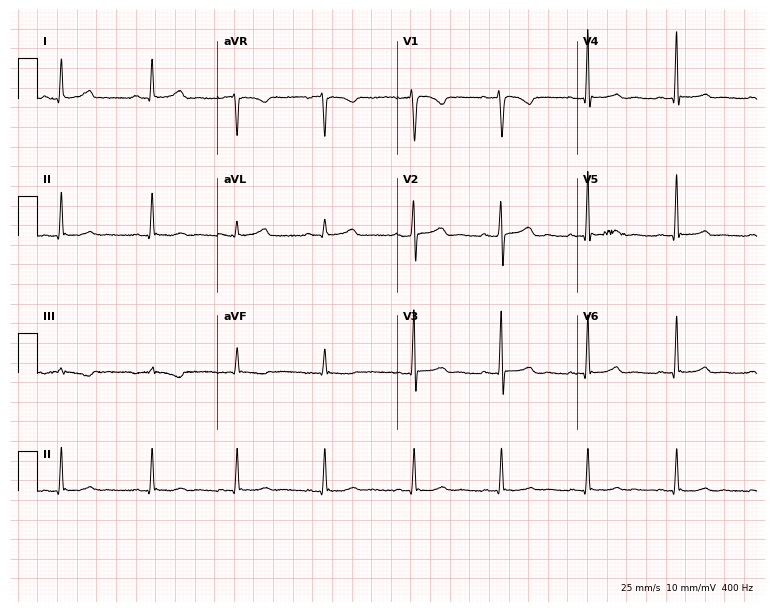
Standard 12-lead ECG recorded from a female, 52 years old. None of these six findings is recorded: first-degree AV block, right bundle branch block, left bundle branch block, sinus bradycardia, atrial fibrillation, sinus tachycardia. Findings outside these six are not listed.